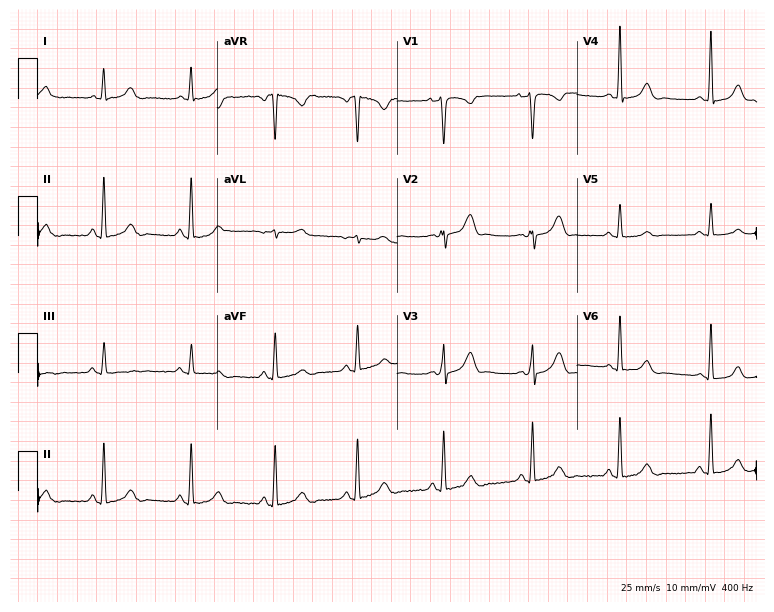
Standard 12-lead ECG recorded from a female, 23 years old (7.3-second recording at 400 Hz). None of these six findings is recorded: first-degree AV block, right bundle branch block, left bundle branch block, sinus bradycardia, atrial fibrillation, sinus tachycardia. Other findings, if any, are not listed.